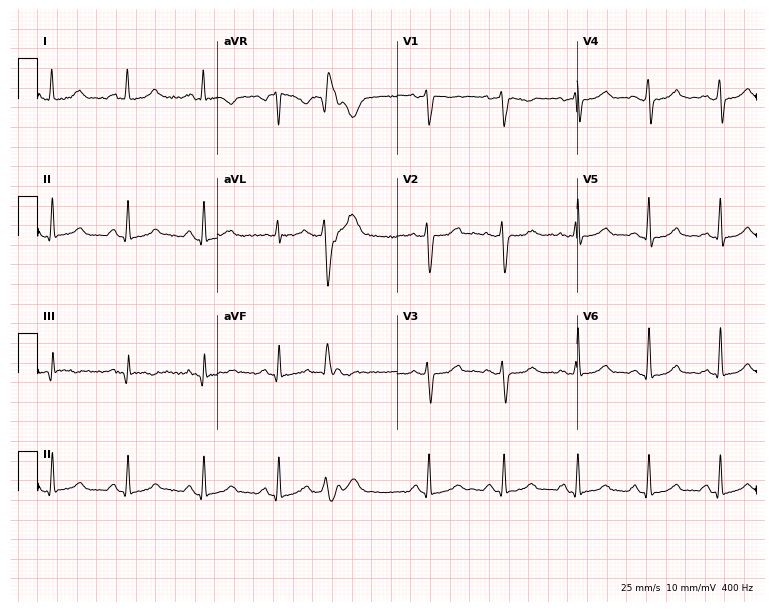
Resting 12-lead electrocardiogram (7.3-second recording at 400 Hz). Patient: a 41-year-old woman. None of these six findings is recorded: first-degree AV block, right bundle branch block, left bundle branch block, sinus bradycardia, atrial fibrillation, sinus tachycardia. Findings outside these six are not listed.